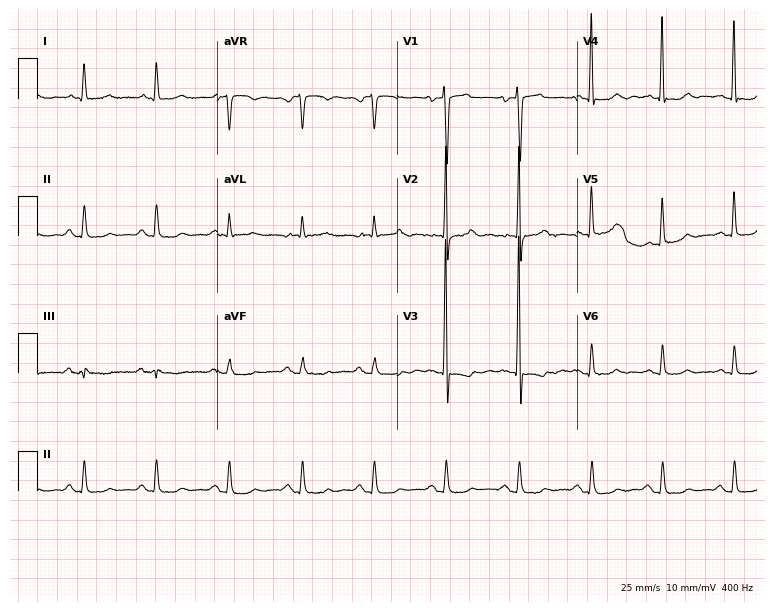
12-lead ECG from an 85-year-old man. No first-degree AV block, right bundle branch block, left bundle branch block, sinus bradycardia, atrial fibrillation or sinus tachycardia recorded for this tracing. Findings outside these six are not listed.